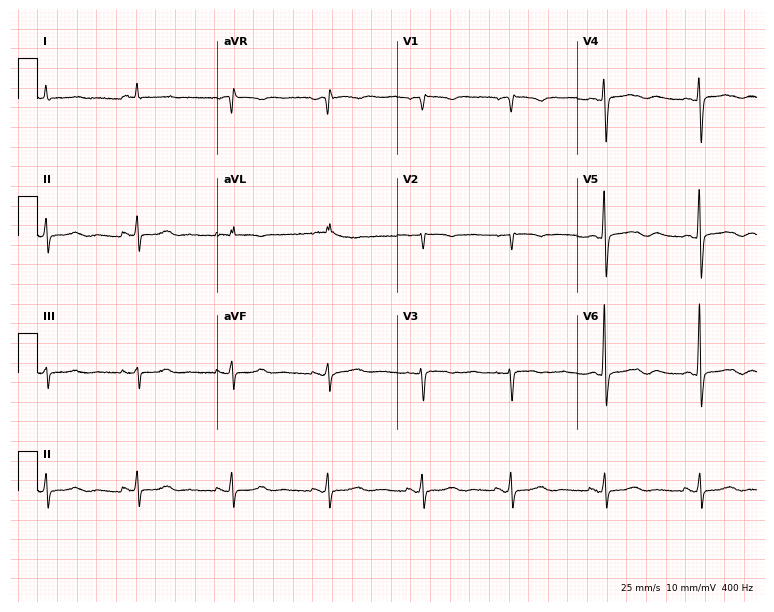
Standard 12-lead ECG recorded from a 63-year-old male patient (7.3-second recording at 400 Hz). None of these six findings is recorded: first-degree AV block, right bundle branch block, left bundle branch block, sinus bradycardia, atrial fibrillation, sinus tachycardia. Findings outside these six are not listed.